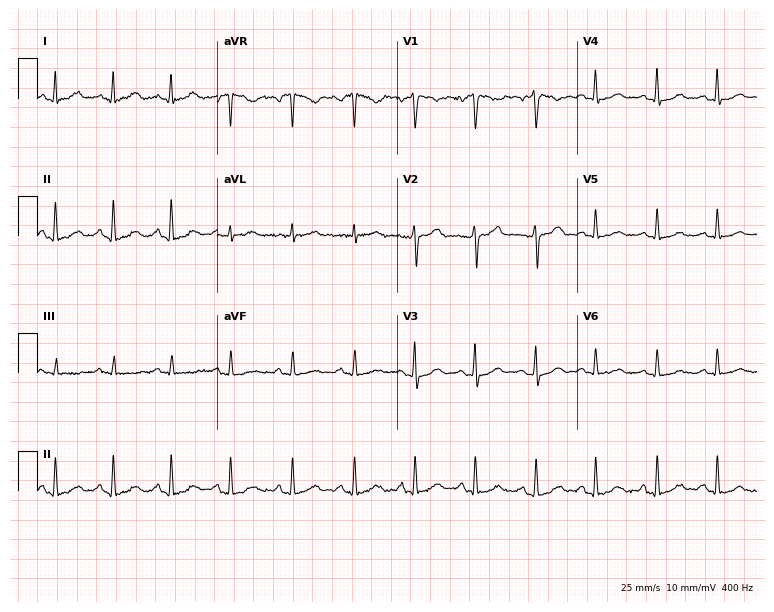
12-lead ECG (7.3-second recording at 400 Hz) from a female patient, 33 years old. Labelled as a normal ECG.